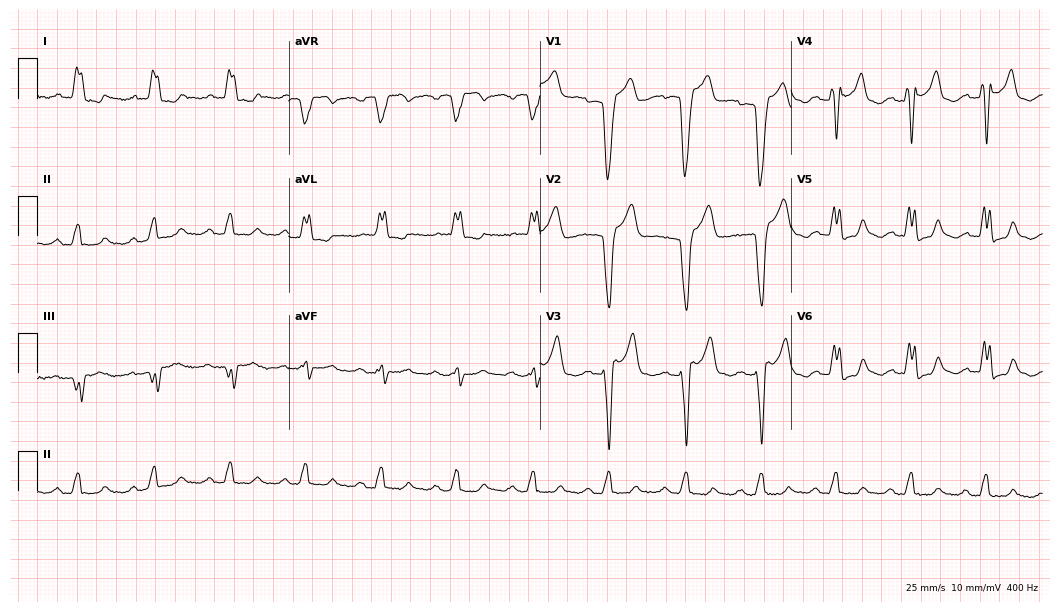
Electrocardiogram (10.2-second recording at 400 Hz), an 81-year-old woman. Interpretation includes left bundle branch block (LBBB).